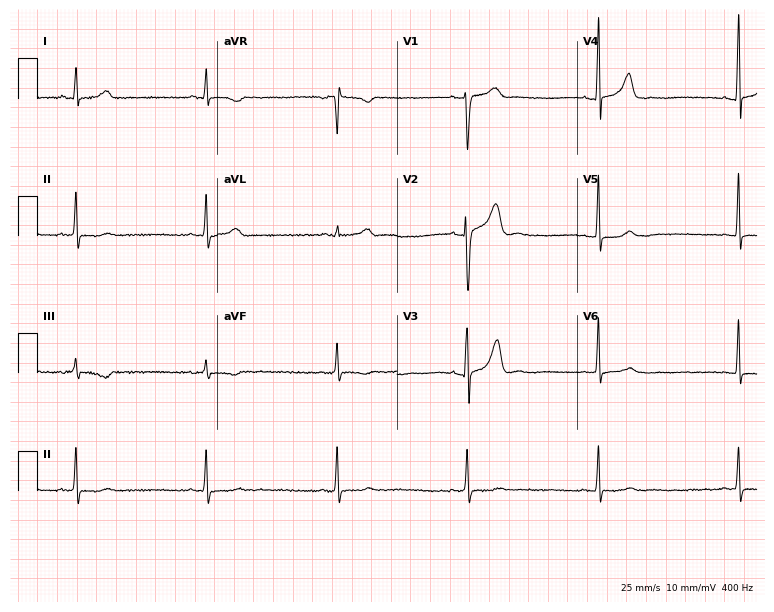
12-lead ECG from a female patient, 35 years old (7.3-second recording at 400 Hz). Shows sinus bradycardia (a sinus rate of 50 beats per minute or less).